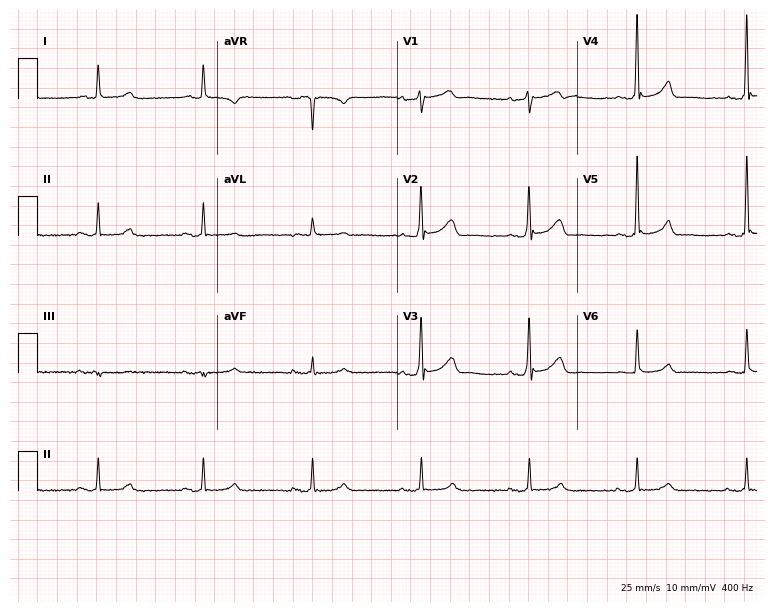
12-lead ECG from a 62-year-old man. Screened for six findings — first-degree AV block, right bundle branch block, left bundle branch block, sinus bradycardia, atrial fibrillation, sinus tachycardia — none is recorded.